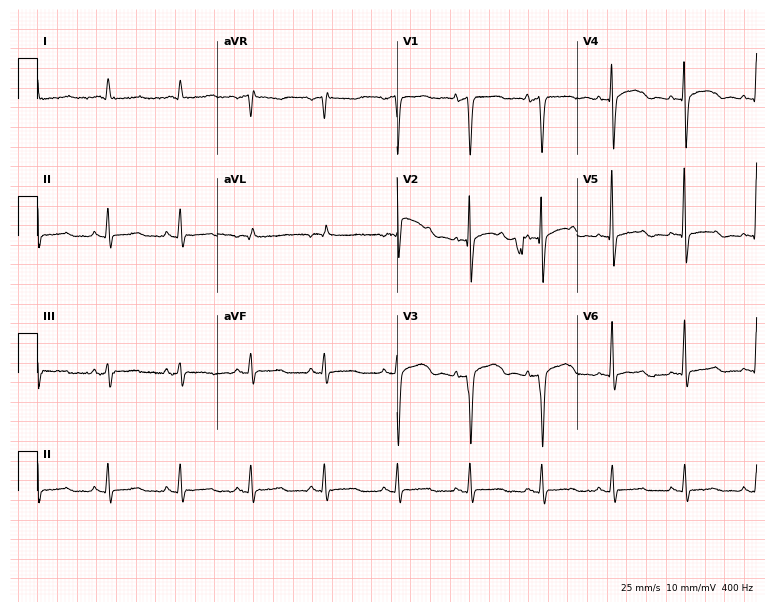
12-lead ECG from a female, 76 years old. No first-degree AV block, right bundle branch block, left bundle branch block, sinus bradycardia, atrial fibrillation or sinus tachycardia recorded for this tracing.